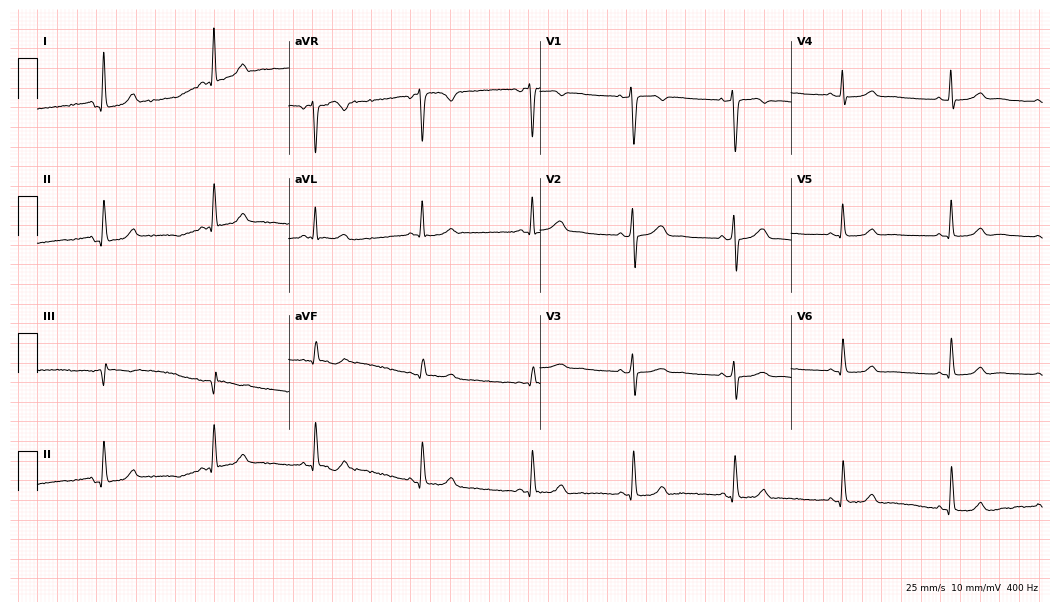
12-lead ECG (10.2-second recording at 400 Hz) from a 49-year-old female patient. Labelled as a normal ECG.